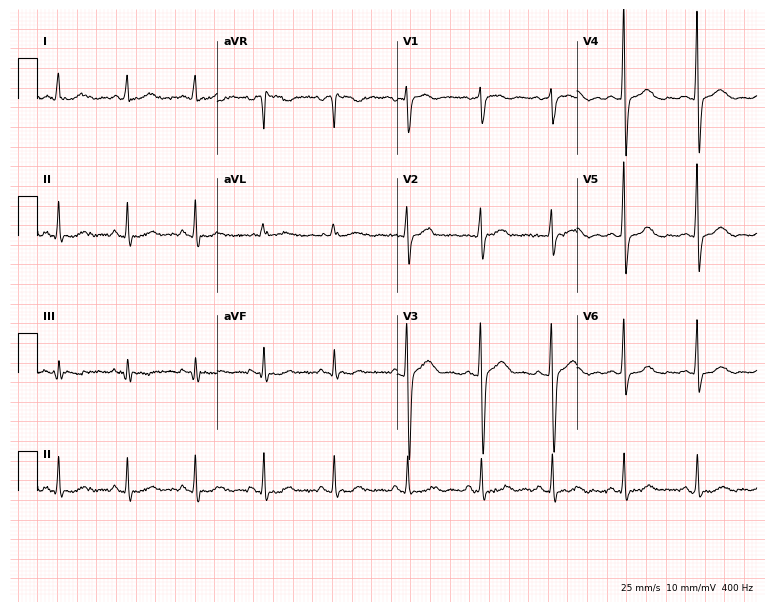
ECG — a female patient, 44 years old. Labelled as a normal ECG.